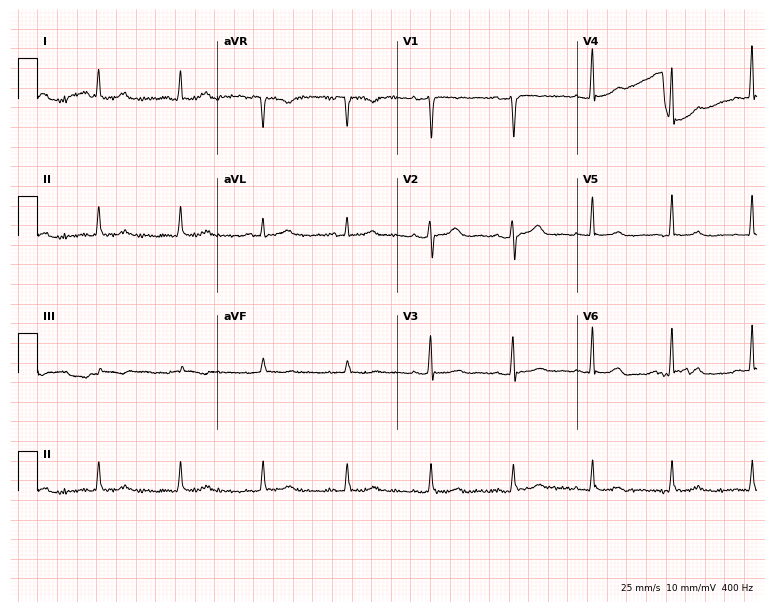
ECG (7.3-second recording at 400 Hz) — a female patient, 65 years old. Labelled as a normal ECG.